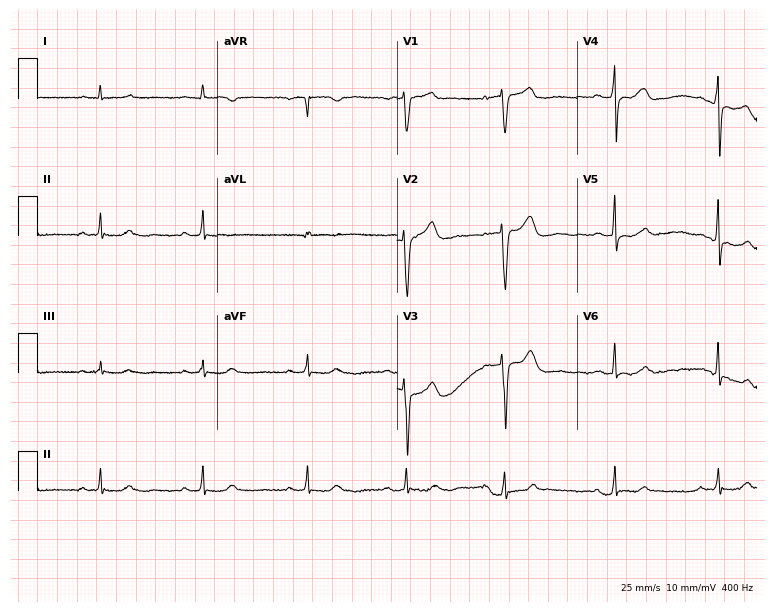
12-lead ECG from a 54-year-old female patient (7.3-second recording at 400 Hz). Recorded interpretation: within normal limits.